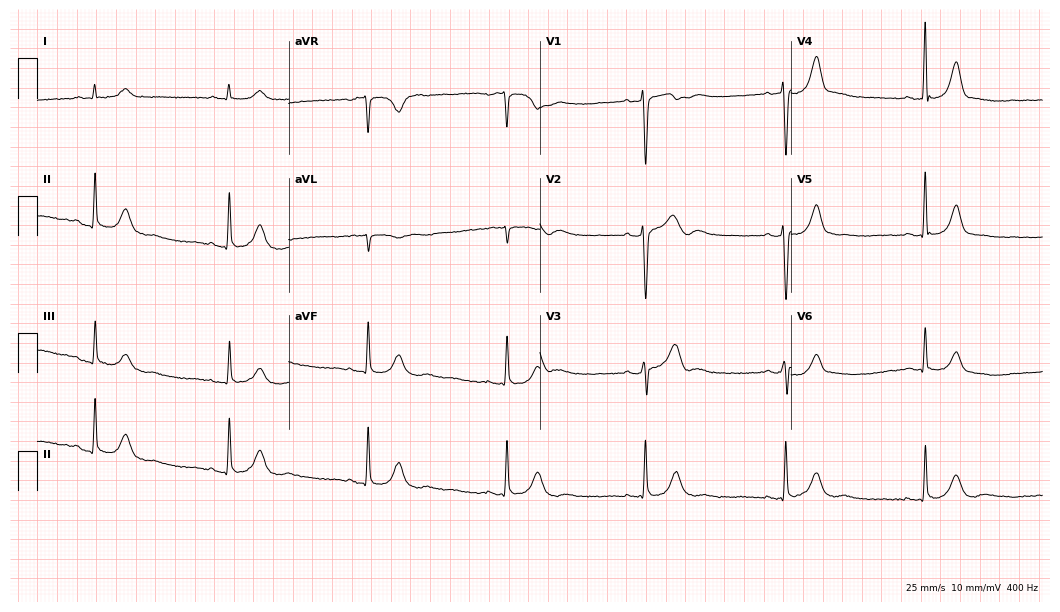
Electrocardiogram (10.2-second recording at 400 Hz), a male, 64 years old. Interpretation includes sinus bradycardia (a sinus rate of 50 beats per minute or less).